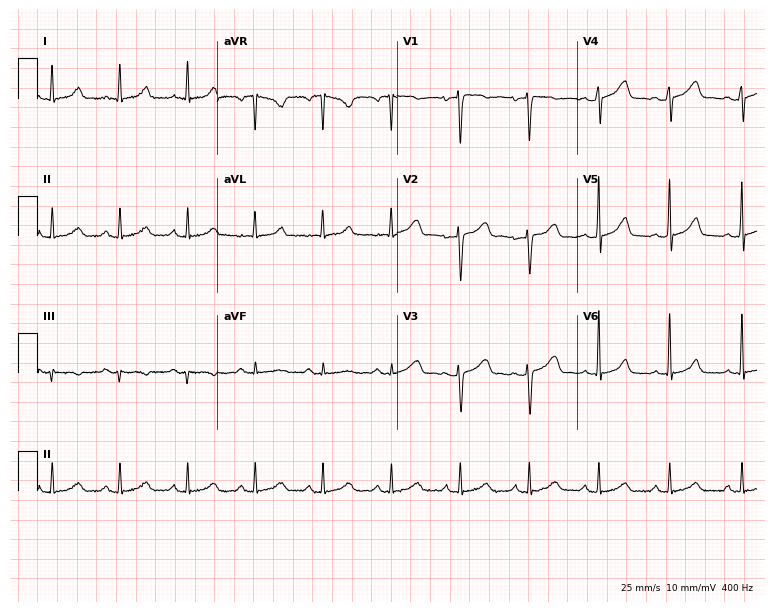
Electrocardiogram (7.3-second recording at 400 Hz), a female, 42 years old. Overall reading on record: normal ECG.